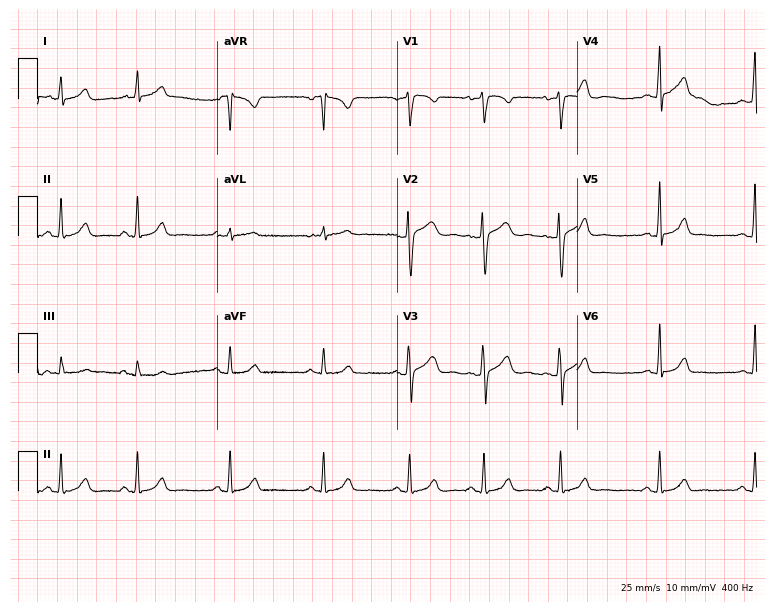
ECG — a 26-year-old woman. Screened for six findings — first-degree AV block, right bundle branch block (RBBB), left bundle branch block (LBBB), sinus bradycardia, atrial fibrillation (AF), sinus tachycardia — none is recorded.